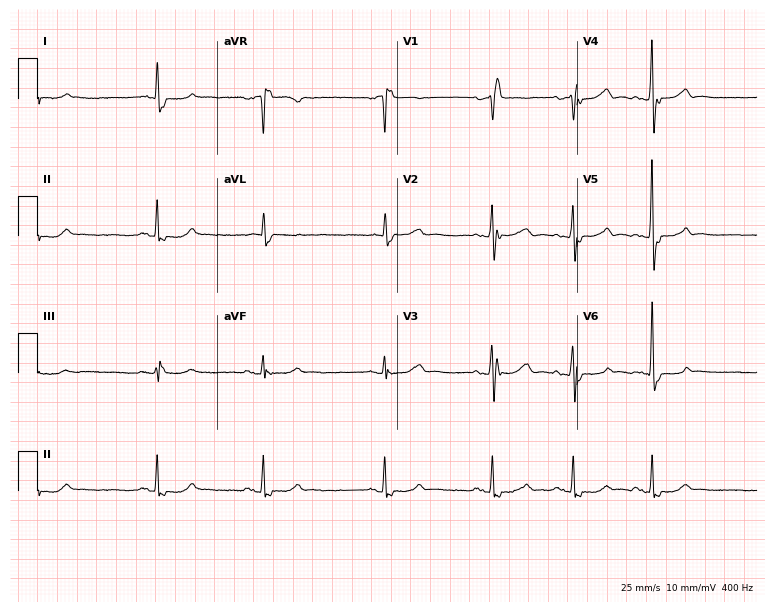
Standard 12-lead ECG recorded from a 77-year-old woman (7.3-second recording at 400 Hz). The tracing shows right bundle branch block.